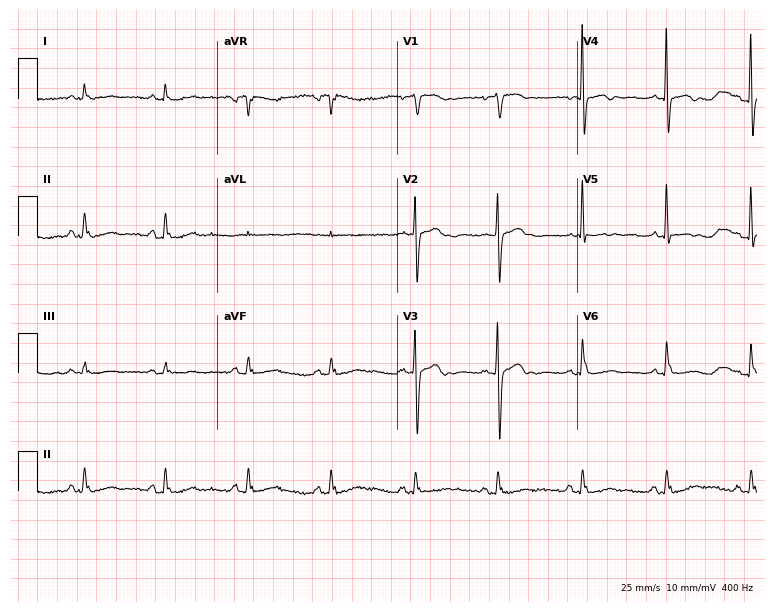
ECG — a 78-year-old woman. Screened for six findings — first-degree AV block, right bundle branch block (RBBB), left bundle branch block (LBBB), sinus bradycardia, atrial fibrillation (AF), sinus tachycardia — none is recorded. Other findings, if any, are not listed.